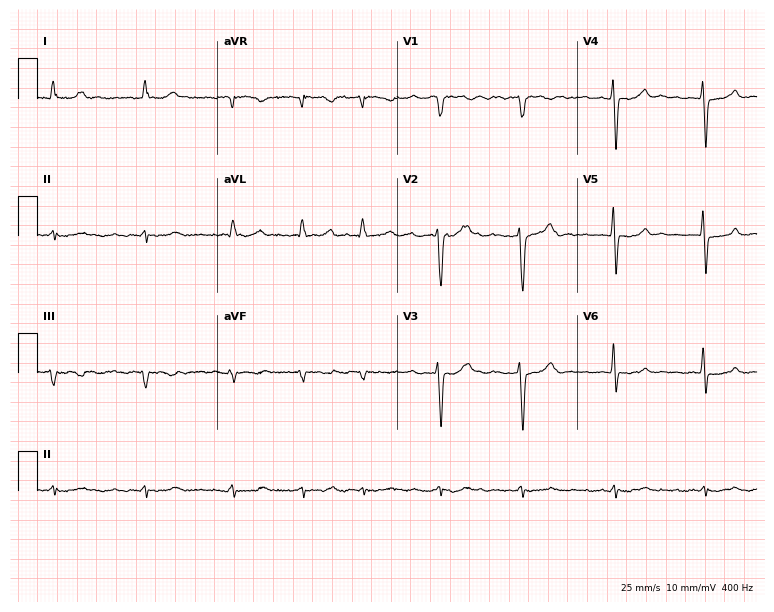
Standard 12-lead ECG recorded from a 60-year-old man. The tracing shows atrial fibrillation.